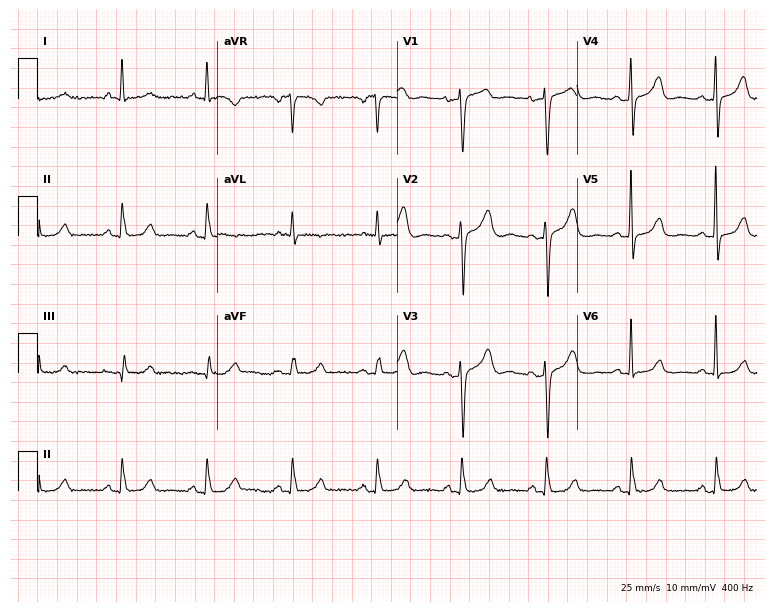
12-lead ECG from a 69-year-old female (7.3-second recording at 400 Hz). No first-degree AV block, right bundle branch block, left bundle branch block, sinus bradycardia, atrial fibrillation or sinus tachycardia recorded for this tracing.